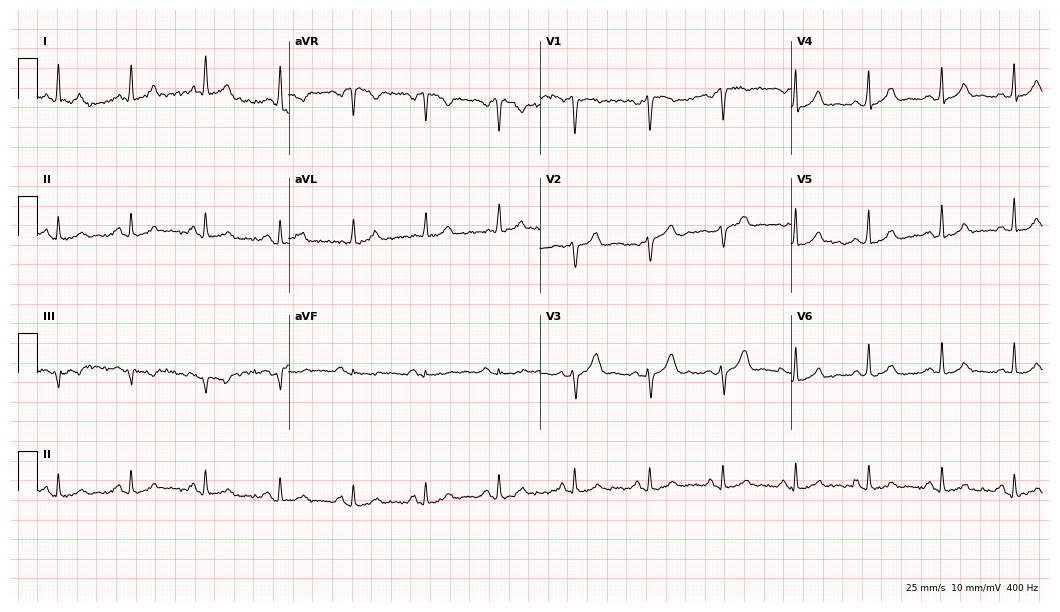
Resting 12-lead electrocardiogram. Patient: a female, 40 years old. Read as a normal ECG.